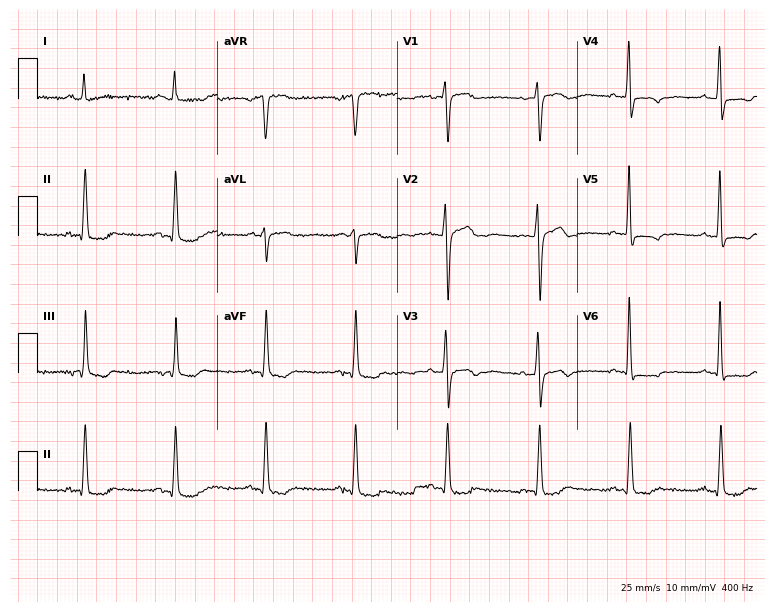
Standard 12-lead ECG recorded from a female, 54 years old. None of these six findings is recorded: first-degree AV block, right bundle branch block, left bundle branch block, sinus bradycardia, atrial fibrillation, sinus tachycardia.